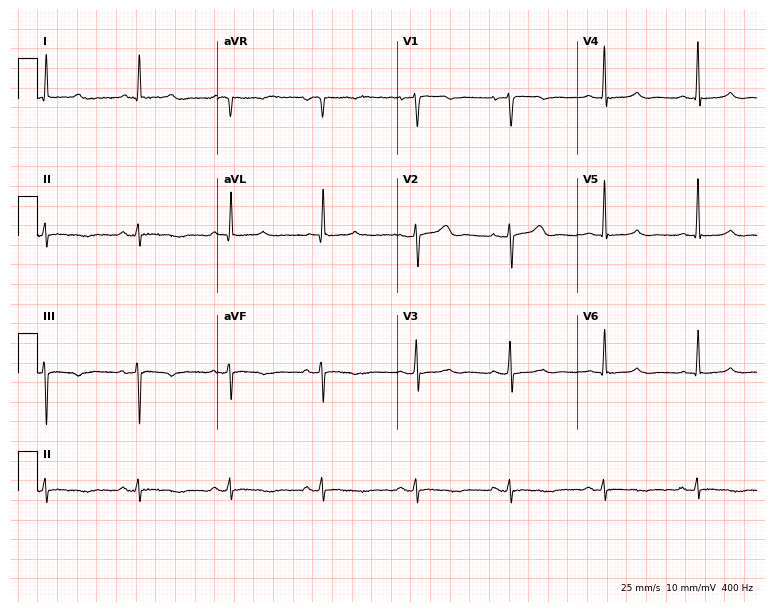
Standard 12-lead ECG recorded from a 75-year-old woman (7.3-second recording at 400 Hz). Read as a normal ECG.